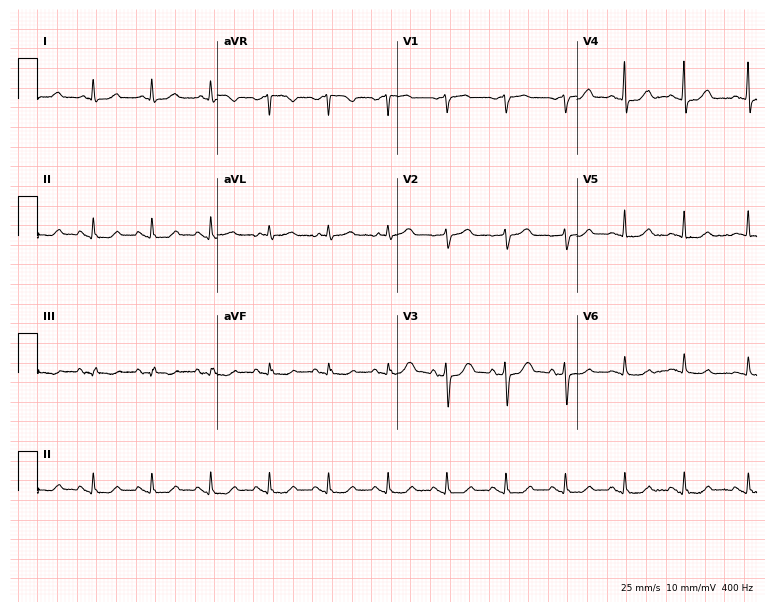
Electrocardiogram, a female, 72 years old. Of the six screened findings (first-degree AV block, right bundle branch block (RBBB), left bundle branch block (LBBB), sinus bradycardia, atrial fibrillation (AF), sinus tachycardia), none is recorded.